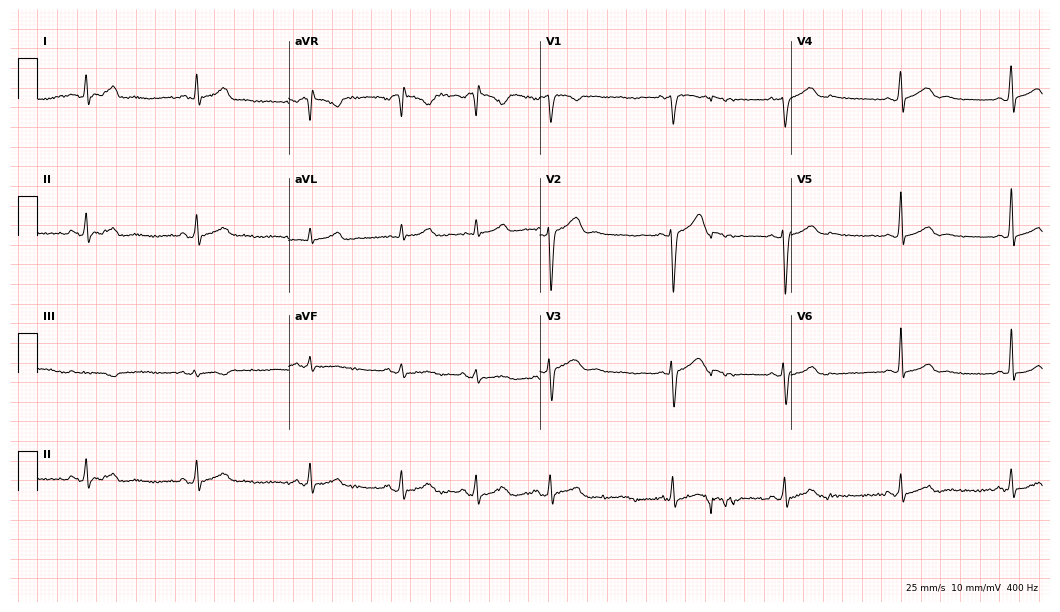
ECG — a male, 19 years old. Labelled as a normal ECG.